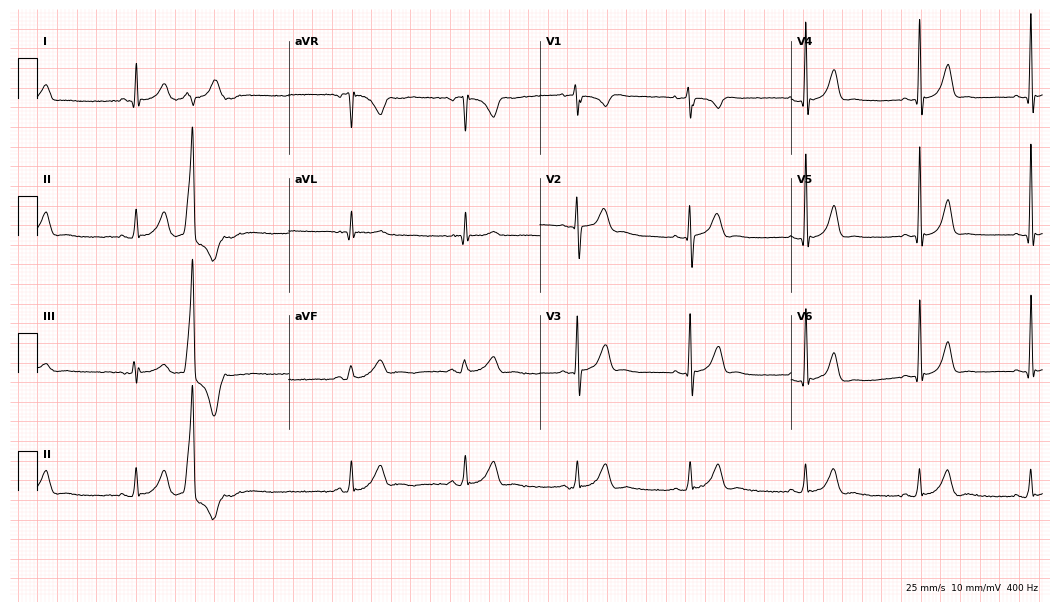
Resting 12-lead electrocardiogram. Patient: a 57-year-old male. None of these six findings is recorded: first-degree AV block, right bundle branch block, left bundle branch block, sinus bradycardia, atrial fibrillation, sinus tachycardia. Findings outside these six are not listed.